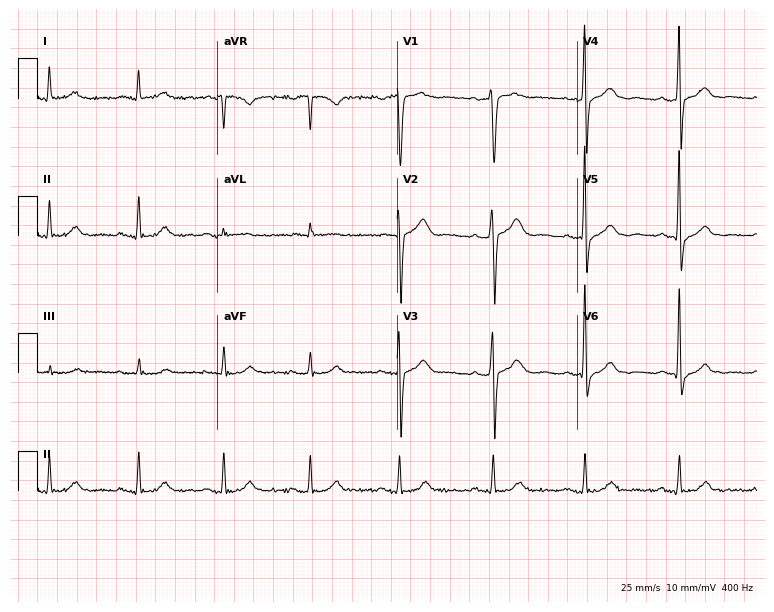
ECG — a man, 69 years old. Screened for six findings — first-degree AV block, right bundle branch block, left bundle branch block, sinus bradycardia, atrial fibrillation, sinus tachycardia — none is recorded.